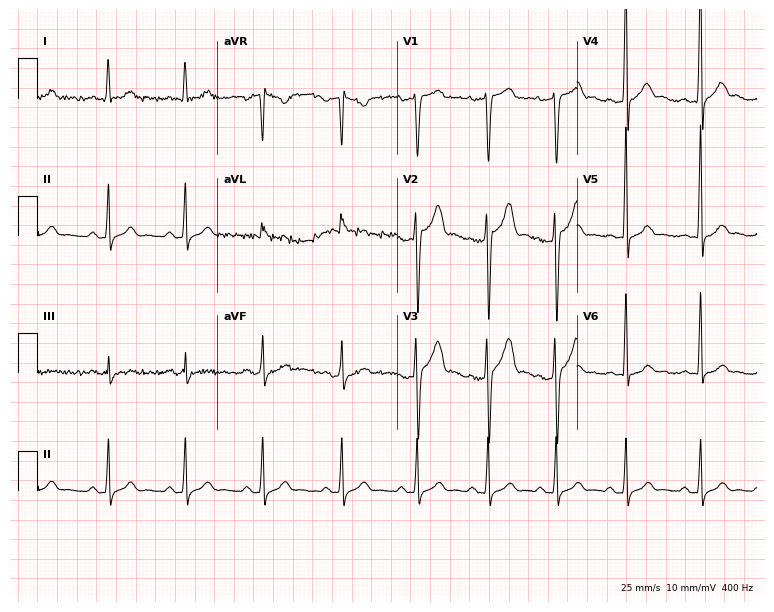
12-lead ECG (7.3-second recording at 400 Hz) from a 30-year-old male patient. Screened for six findings — first-degree AV block, right bundle branch block, left bundle branch block, sinus bradycardia, atrial fibrillation, sinus tachycardia — none is recorded. Other findings, if any, are not listed.